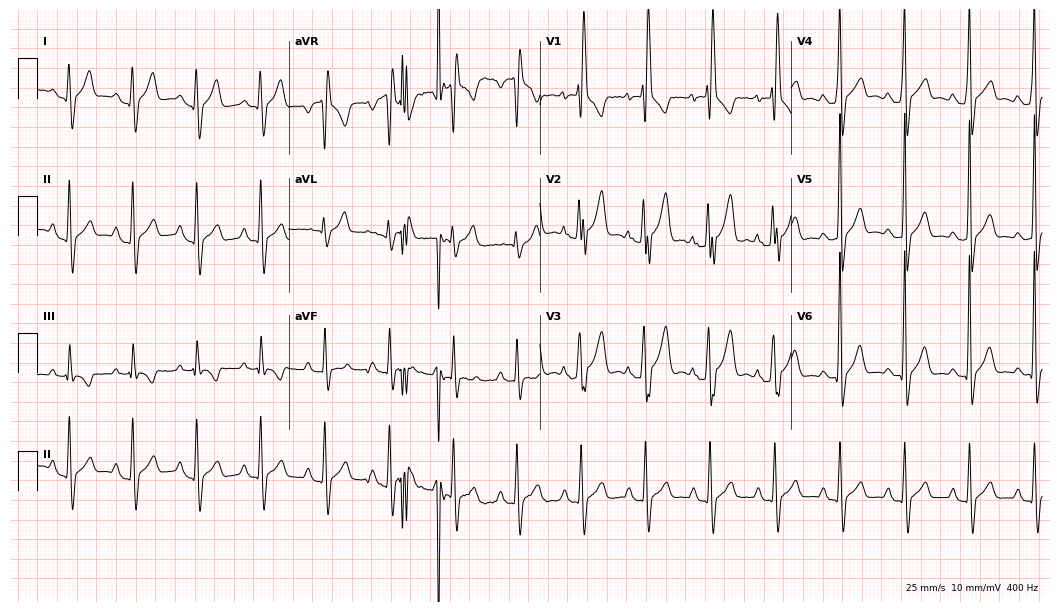
Electrocardiogram, a 25-year-old male patient. Of the six screened findings (first-degree AV block, right bundle branch block, left bundle branch block, sinus bradycardia, atrial fibrillation, sinus tachycardia), none is recorded. Only these six findings were labelled.